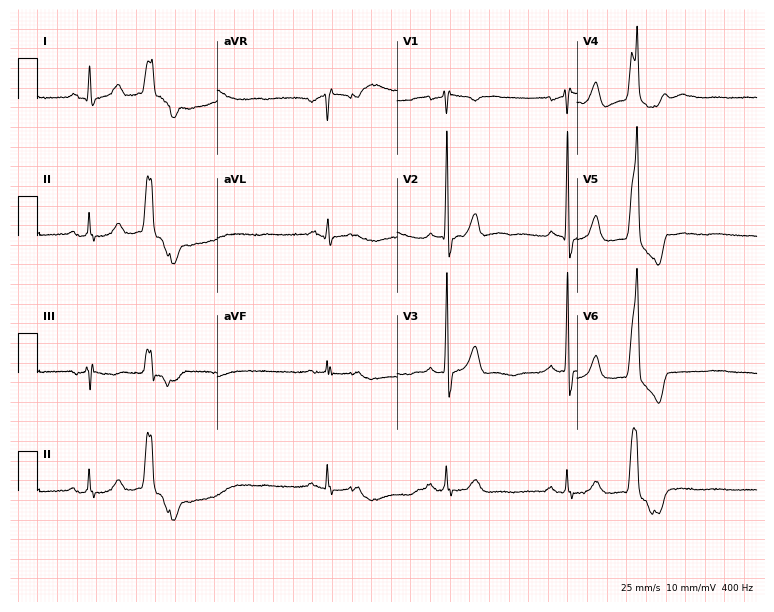
Standard 12-lead ECG recorded from a 67-year-old male patient. None of these six findings is recorded: first-degree AV block, right bundle branch block (RBBB), left bundle branch block (LBBB), sinus bradycardia, atrial fibrillation (AF), sinus tachycardia.